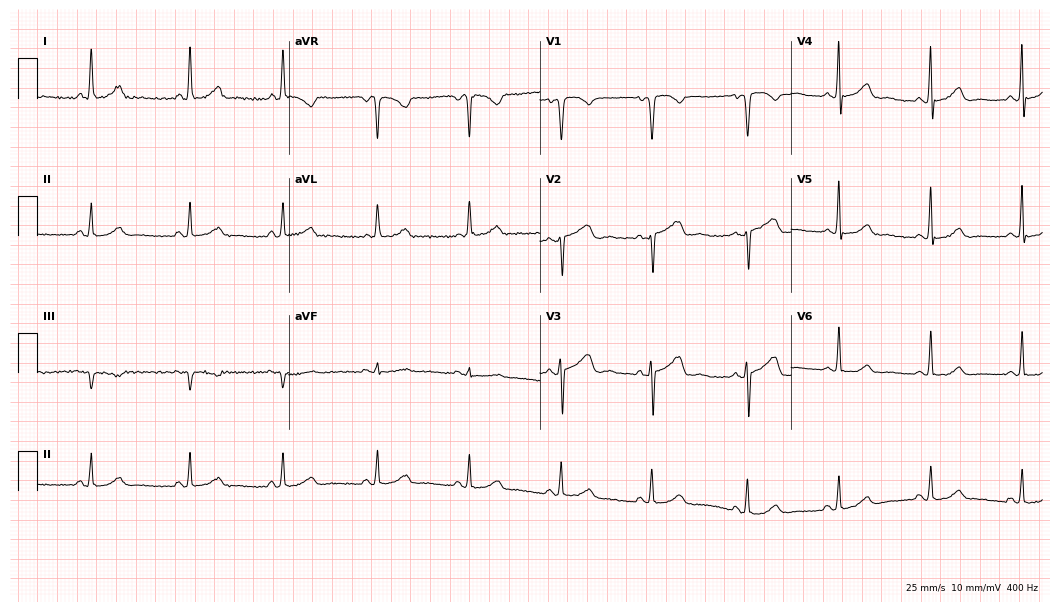
Standard 12-lead ECG recorded from a 59-year-old woman. Read as a normal ECG.